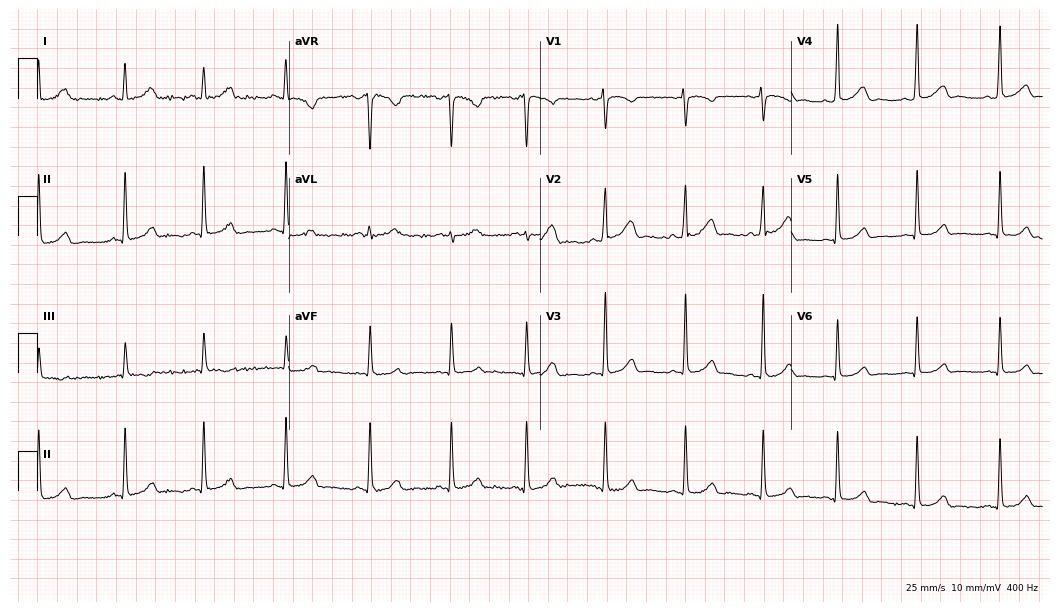
Standard 12-lead ECG recorded from a woman, 25 years old. Read as a normal ECG.